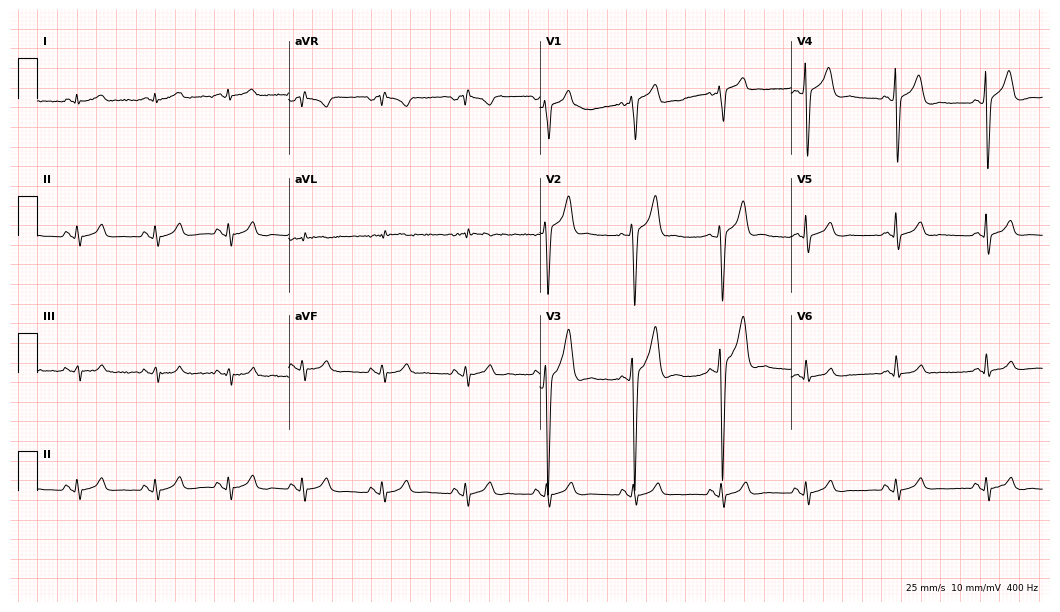
12-lead ECG from a 49-year-old man. Labelled as a normal ECG.